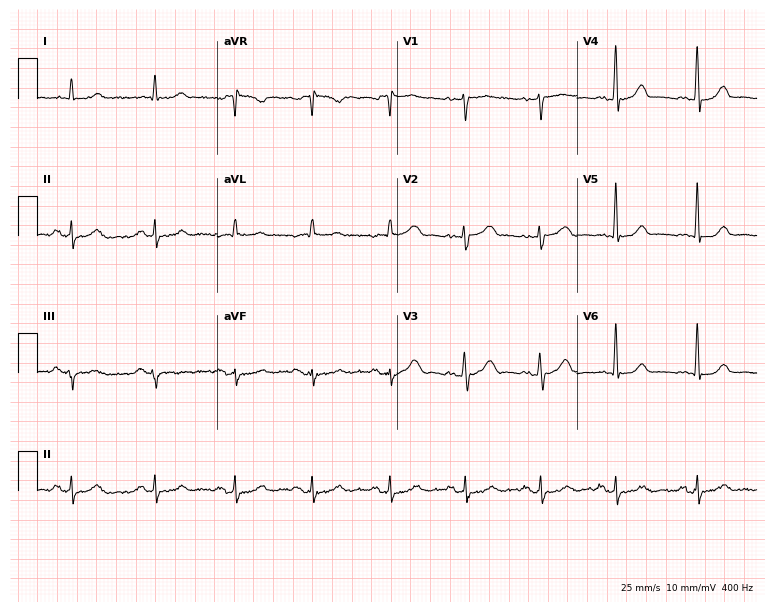
12-lead ECG from a 62-year-old male (7.3-second recording at 400 Hz). Recorded interpretation: within normal limits.